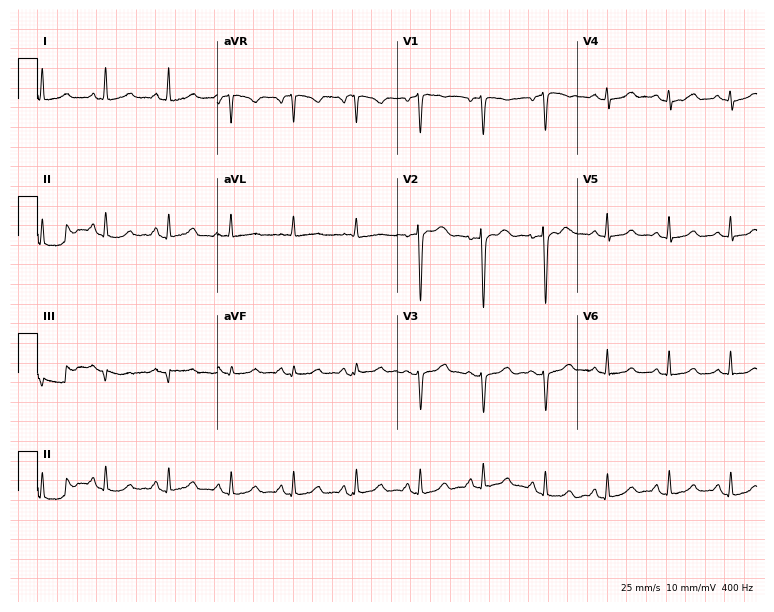
12-lead ECG from a woman, 48 years old. No first-degree AV block, right bundle branch block (RBBB), left bundle branch block (LBBB), sinus bradycardia, atrial fibrillation (AF) or sinus tachycardia recorded for this tracing.